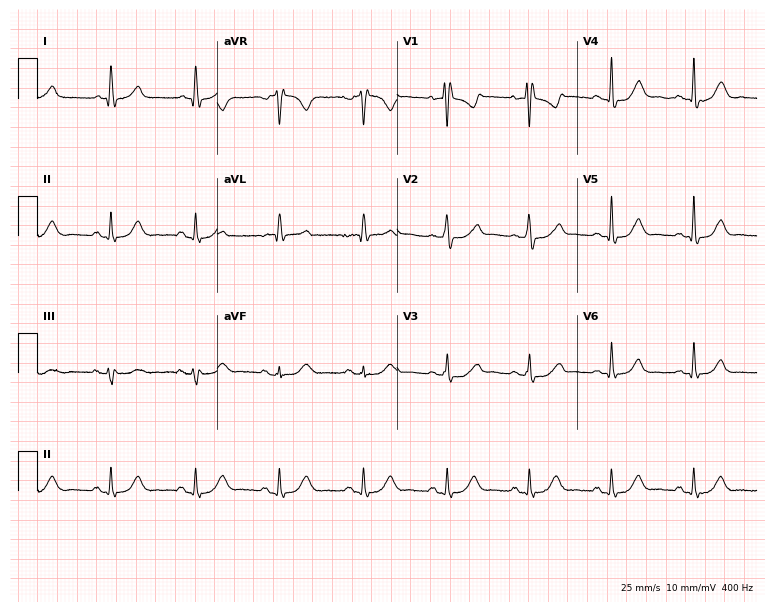
12-lead ECG from a 64-year-old woman. Screened for six findings — first-degree AV block, right bundle branch block, left bundle branch block, sinus bradycardia, atrial fibrillation, sinus tachycardia — none is recorded. Other findings, if any, are not listed.